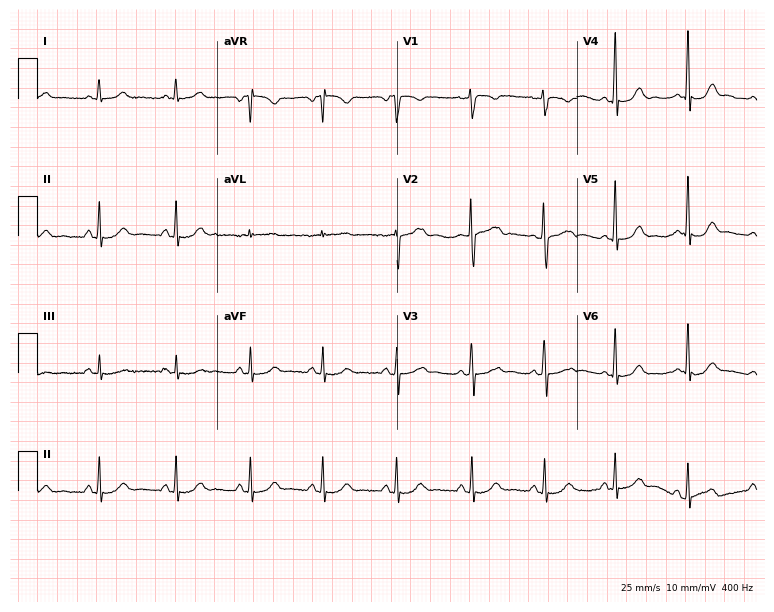
Standard 12-lead ECG recorded from a female, 43 years old. Read as a normal ECG.